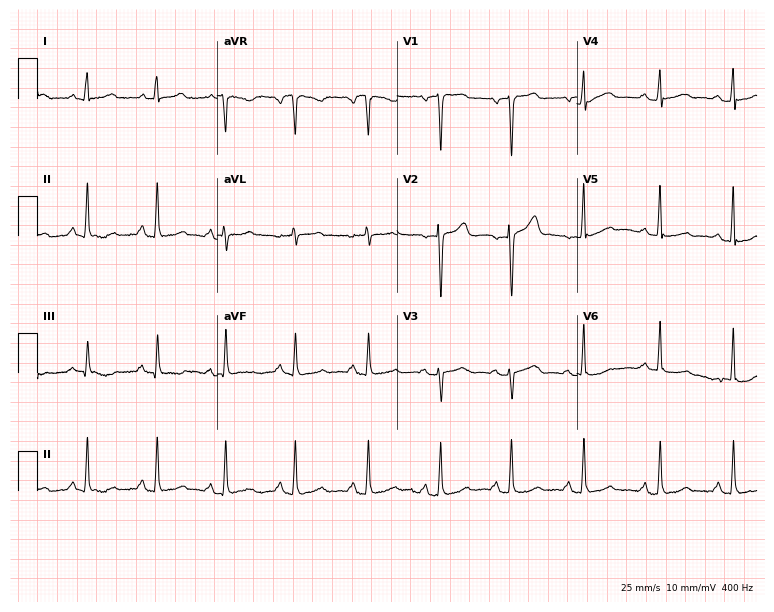
12-lead ECG (7.3-second recording at 400 Hz) from a 56-year-old female patient. Labelled as a normal ECG.